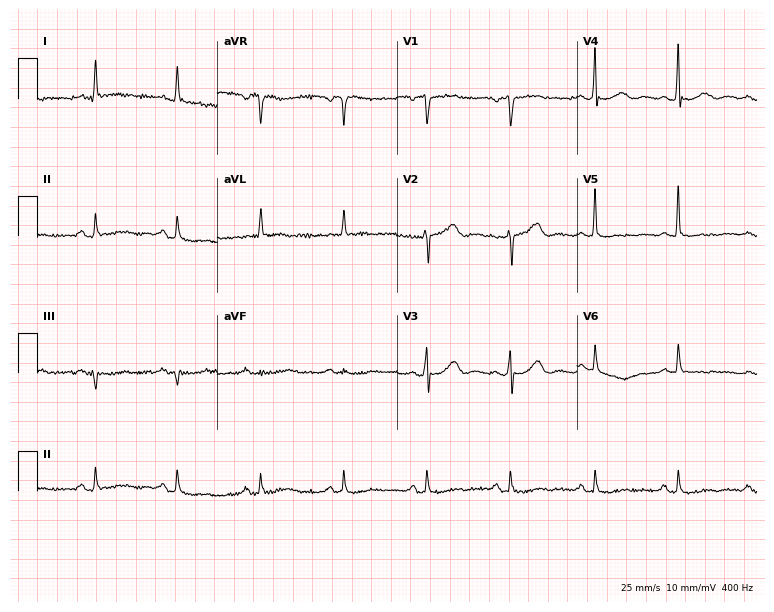
ECG — a 78-year-old male. Screened for six findings — first-degree AV block, right bundle branch block, left bundle branch block, sinus bradycardia, atrial fibrillation, sinus tachycardia — none is recorded. Other findings, if any, are not listed.